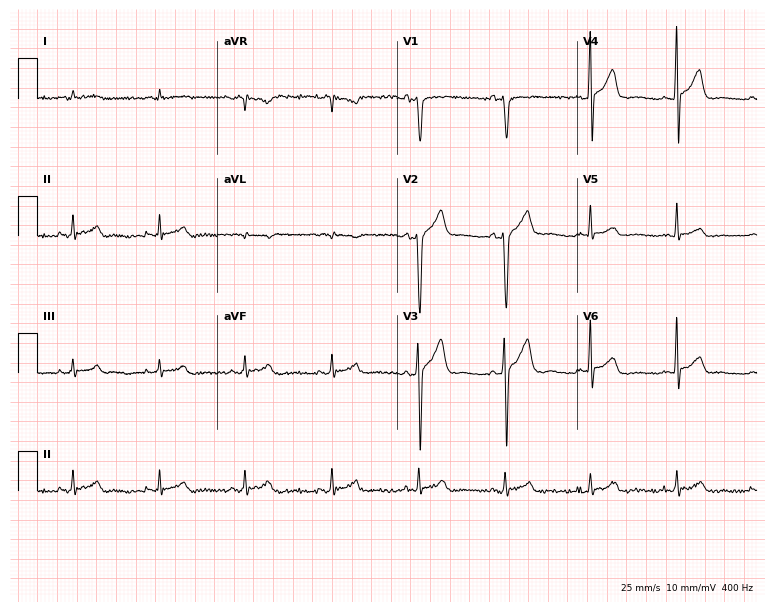
Standard 12-lead ECG recorded from a 59-year-old male patient (7.3-second recording at 400 Hz). None of these six findings is recorded: first-degree AV block, right bundle branch block, left bundle branch block, sinus bradycardia, atrial fibrillation, sinus tachycardia.